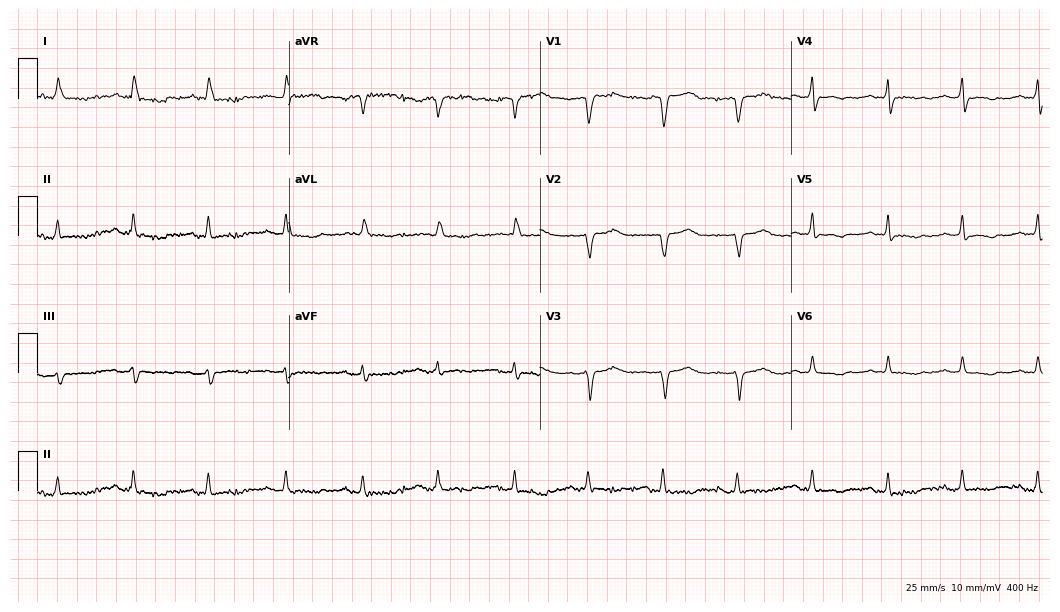
Standard 12-lead ECG recorded from a 54-year-old female patient. None of these six findings is recorded: first-degree AV block, right bundle branch block (RBBB), left bundle branch block (LBBB), sinus bradycardia, atrial fibrillation (AF), sinus tachycardia.